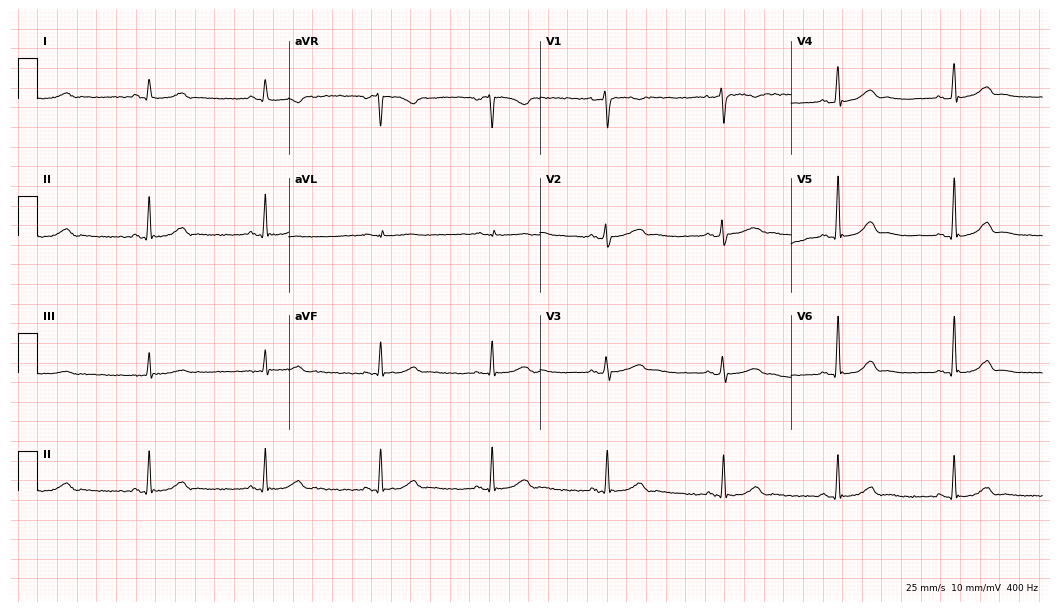
12-lead ECG from a 40-year-old woman. Recorded interpretation: within normal limits.